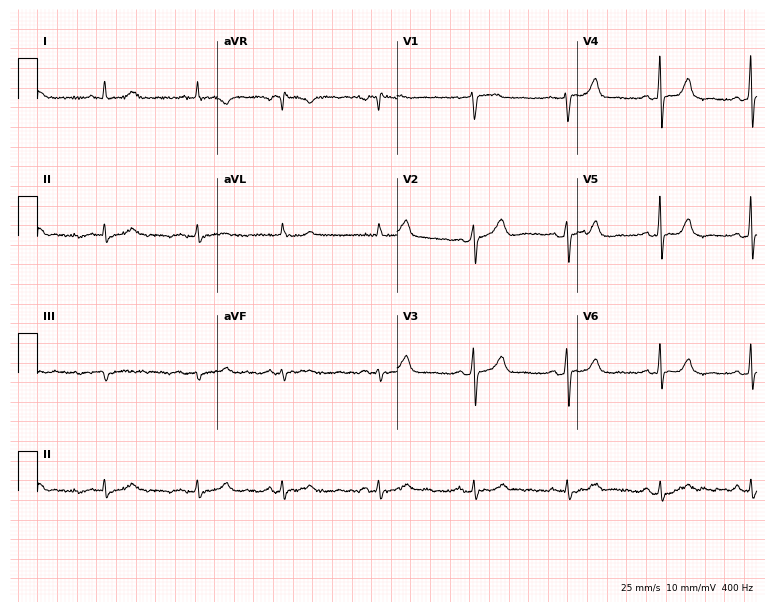
Standard 12-lead ECG recorded from a female, 64 years old (7.3-second recording at 400 Hz). Read as a normal ECG.